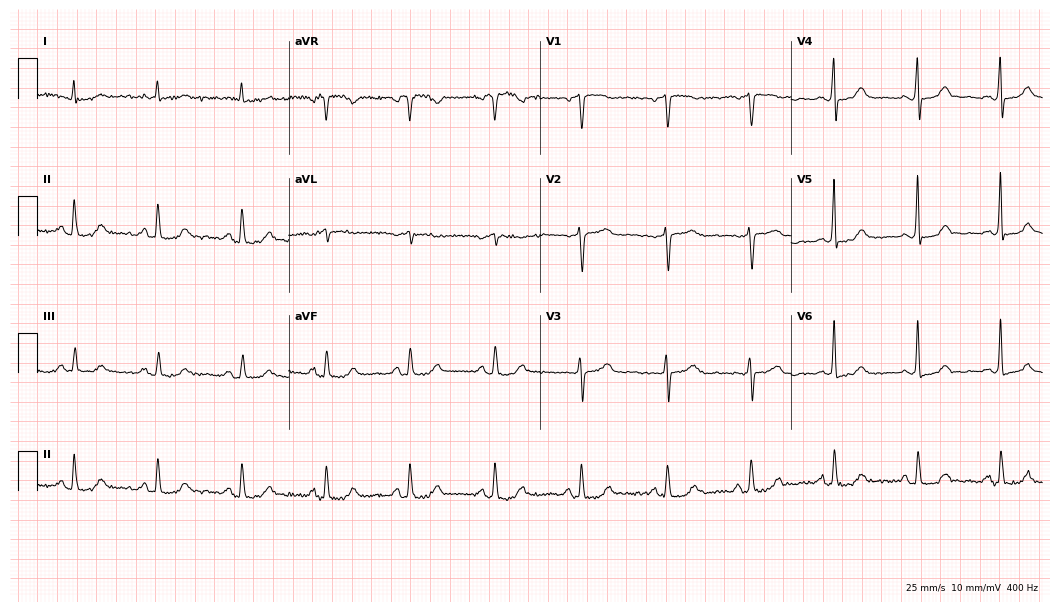
Electrocardiogram, a 69-year-old female patient. Overall reading on record: normal ECG.